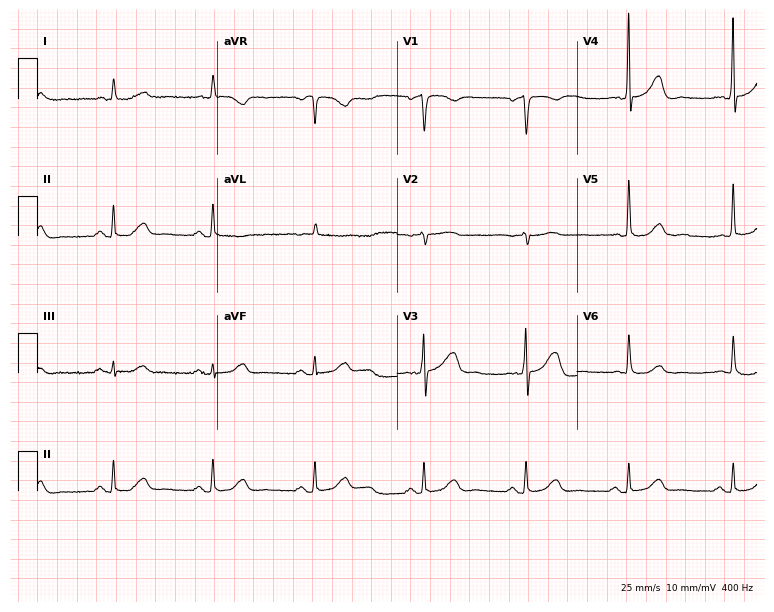
Electrocardiogram, a male, 80 years old. Overall reading on record: normal ECG.